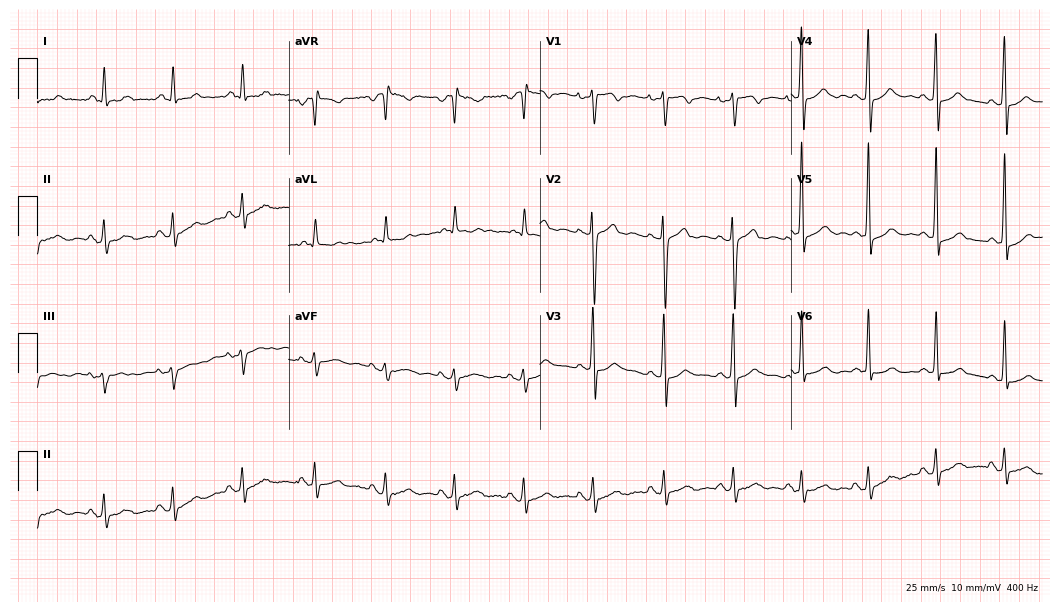
Electrocardiogram (10.2-second recording at 400 Hz), a 40-year-old female patient. Of the six screened findings (first-degree AV block, right bundle branch block, left bundle branch block, sinus bradycardia, atrial fibrillation, sinus tachycardia), none is recorded. Other findings, if any, are not listed.